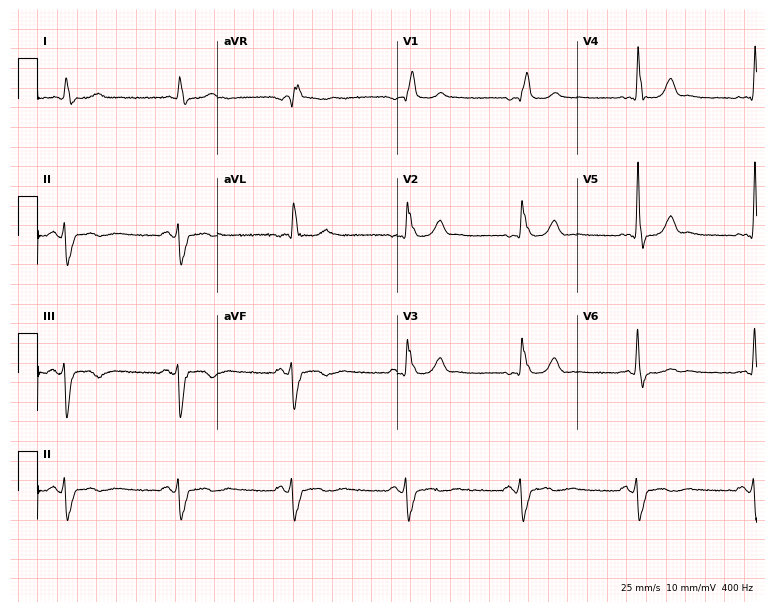
Resting 12-lead electrocardiogram (7.3-second recording at 400 Hz). Patient: a 66-year-old man. The tracing shows right bundle branch block.